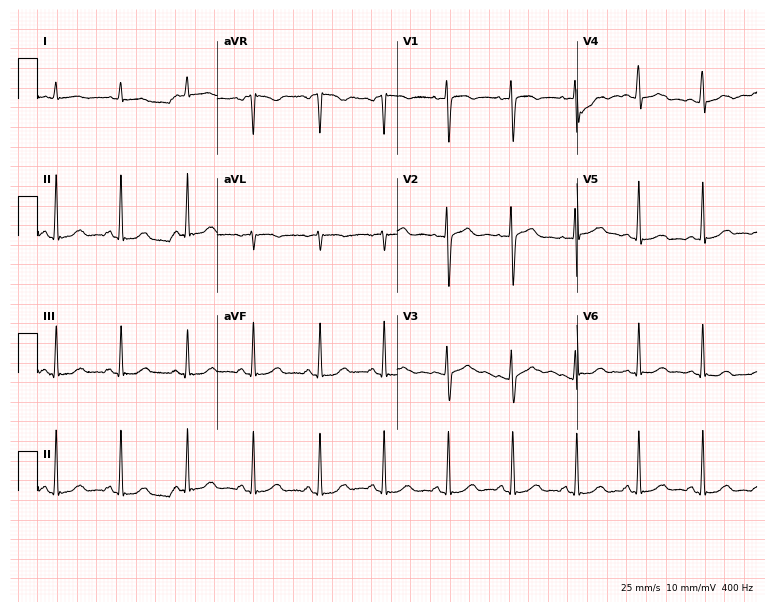
12-lead ECG (7.3-second recording at 400 Hz) from a woman, 30 years old. Labelled as a normal ECG.